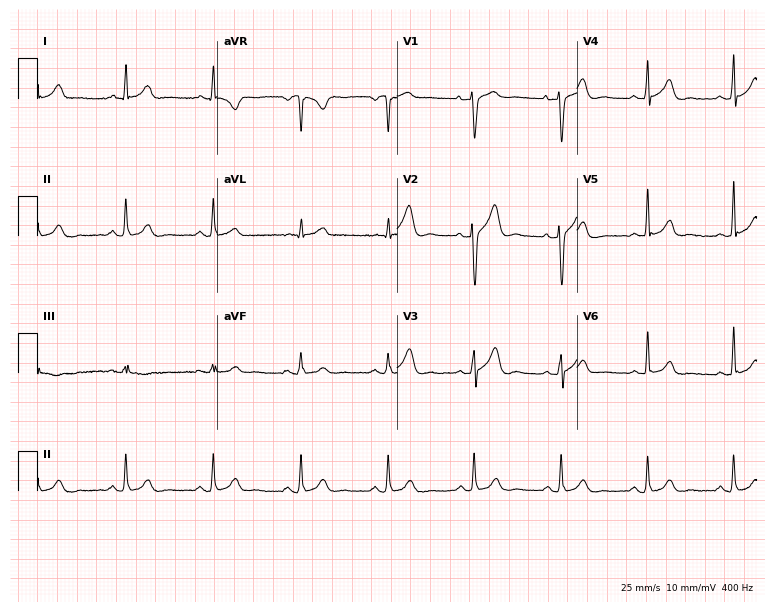
12-lead ECG from a man, 35 years old (7.3-second recording at 400 Hz). Recorded interpretation: within normal limits.